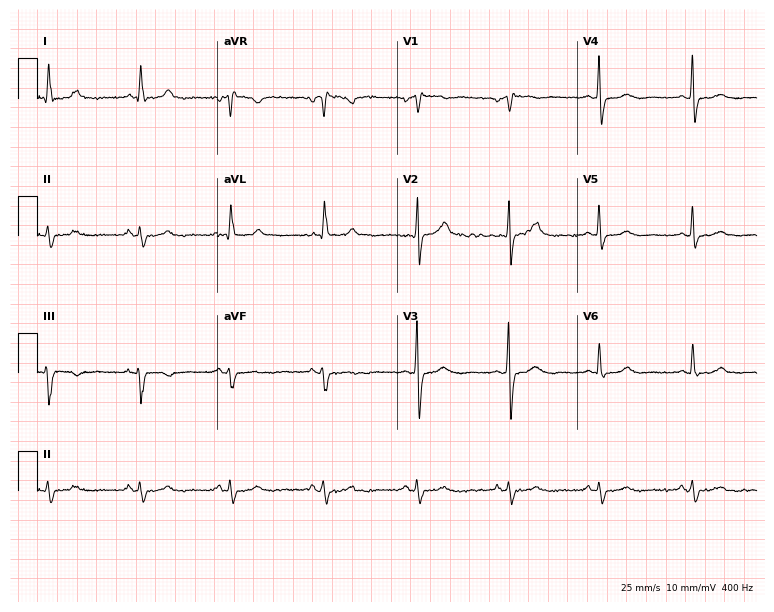
12-lead ECG (7.3-second recording at 400 Hz) from a man, 55 years old. Screened for six findings — first-degree AV block, right bundle branch block, left bundle branch block, sinus bradycardia, atrial fibrillation, sinus tachycardia — none is recorded. Only these six findings were labelled.